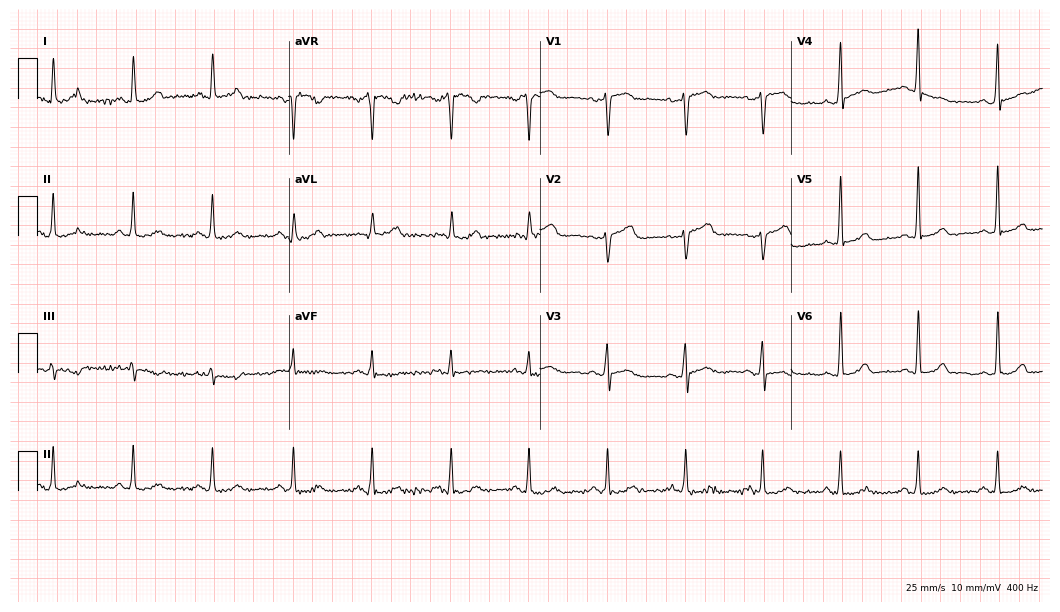
12-lead ECG (10.2-second recording at 400 Hz) from a 53-year-old female patient. Labelled as a normal ECG.